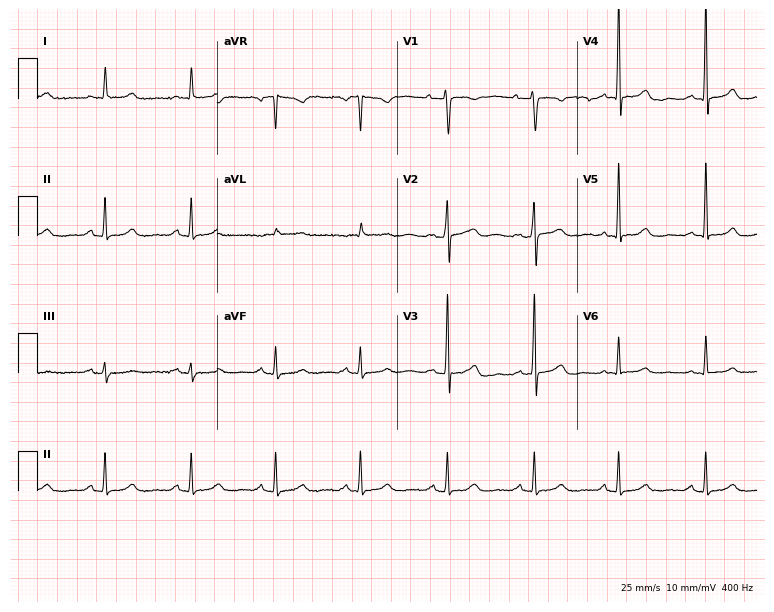
Standard 12-lead ECG recorded from a woman, 64 years old. None of these six findings is recorded: first-degree AV block, right bundle branch block, left bundle branch block, sinus bradycardia, atrial fibrillation, sinus tachycardia.